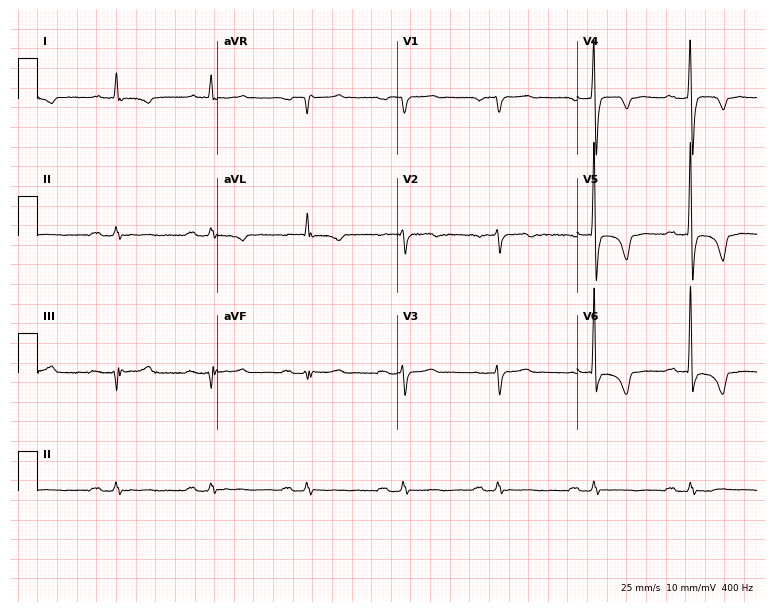
12-lead ECG (7.3-second recording at 400 Hz) from a male patient, 74 years old. Screened for six findings — first-degree AV block, right bundle branch block, left bundle branch block, sinus bradycardia, atrial fibrillation, sinus tachycardia — none is recorded. Other findings, if any, are not listed.